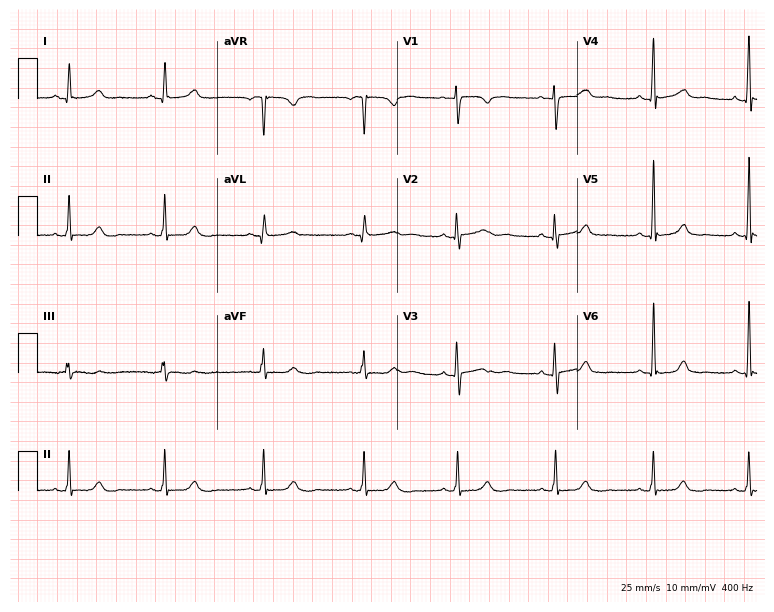
Electrocardiogram (7.3-second recording at 400 Hz), a female, 34 years old. Of the six screened findings (first-degree AV block, right bundle branch block, left bundle branch block, sinus bradycardia, atrial fibrillation, sinus tachycardia), none is recorded.